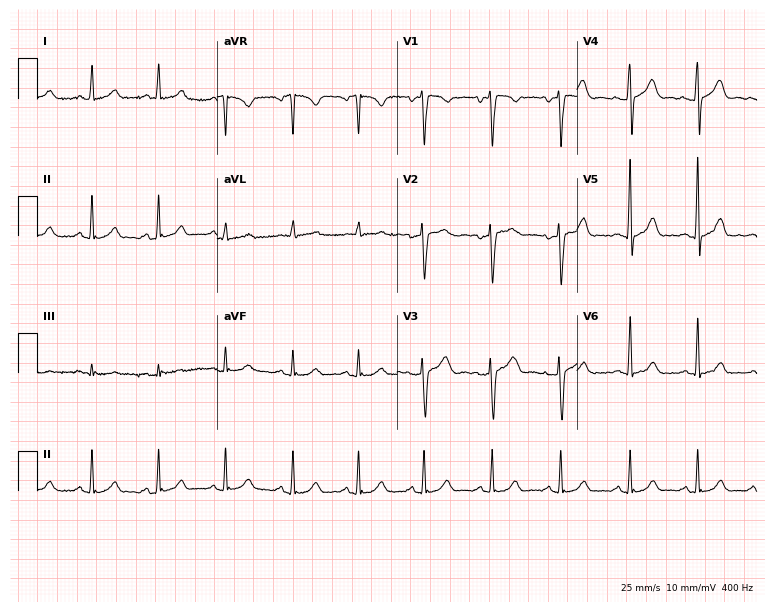
Standard 12-lead ECG recorded from a 32-year-old woman (7.3-second recording at 400 Hz). Read as a normal ECG.